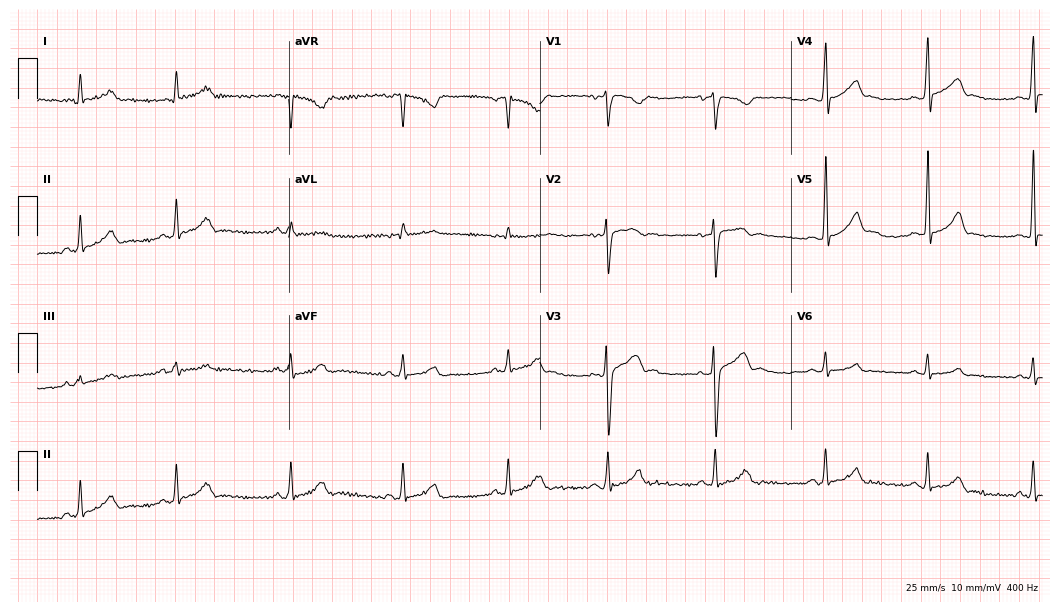
12-lead ECG from a male patient, 25 years old. Labelled as a normal ECG.